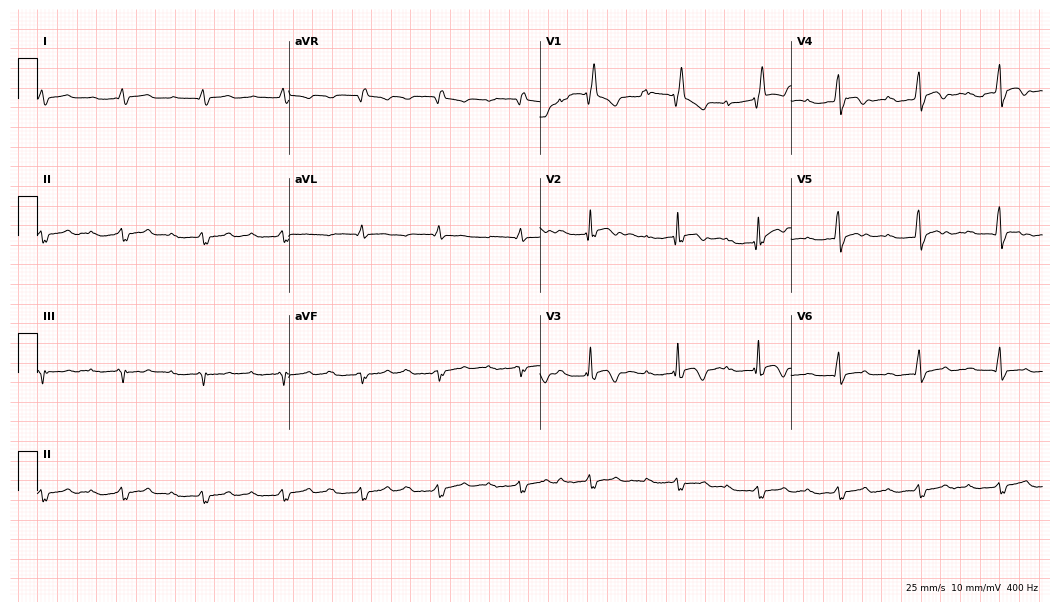
Standard 12-lead ECG recorded from a man, 47 years old. The tracing shows first-degree AV block, right bundle branch block (RBBB).